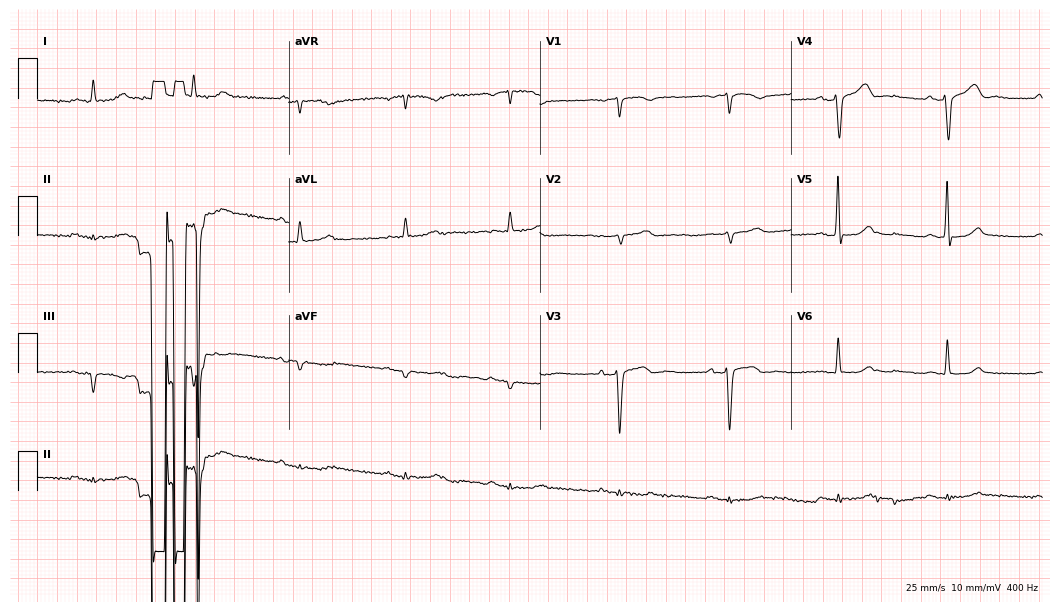
Resting 12-lead electrocardiogram (10.2-second recording at 400 Hz). Patient: a male, 78 years old. None of these six findings is recorded: first-degree AV block, right bundle branch block, left bundle branch block, sinus bradycardia, atrial fibrillation, sinus tachycardia. Only these six findings were labelled.